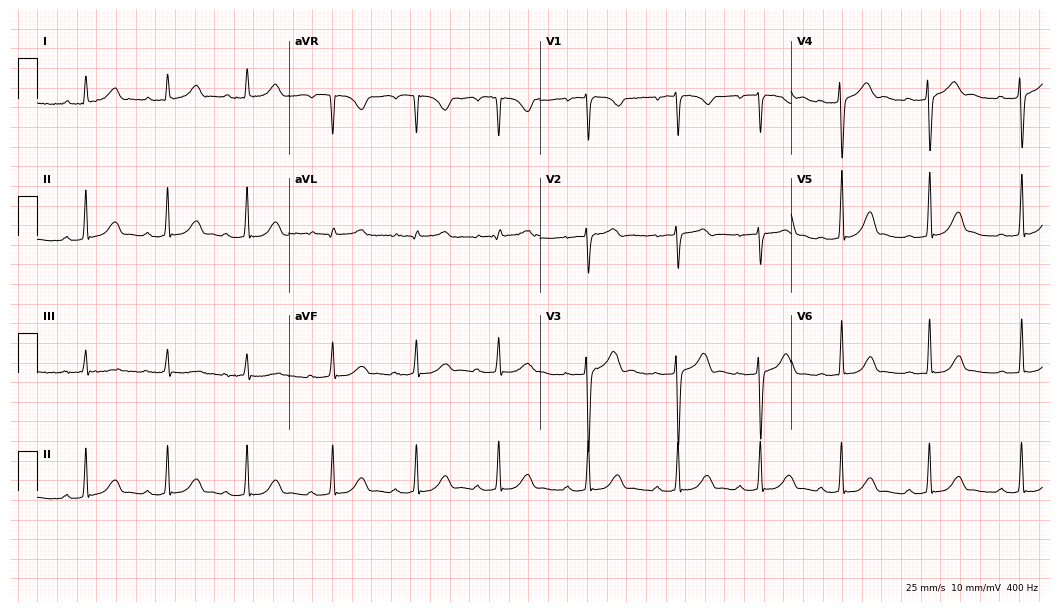
Electrocardiogram, a 31-year-old female patient. Interpretation includes first-degree AV block.